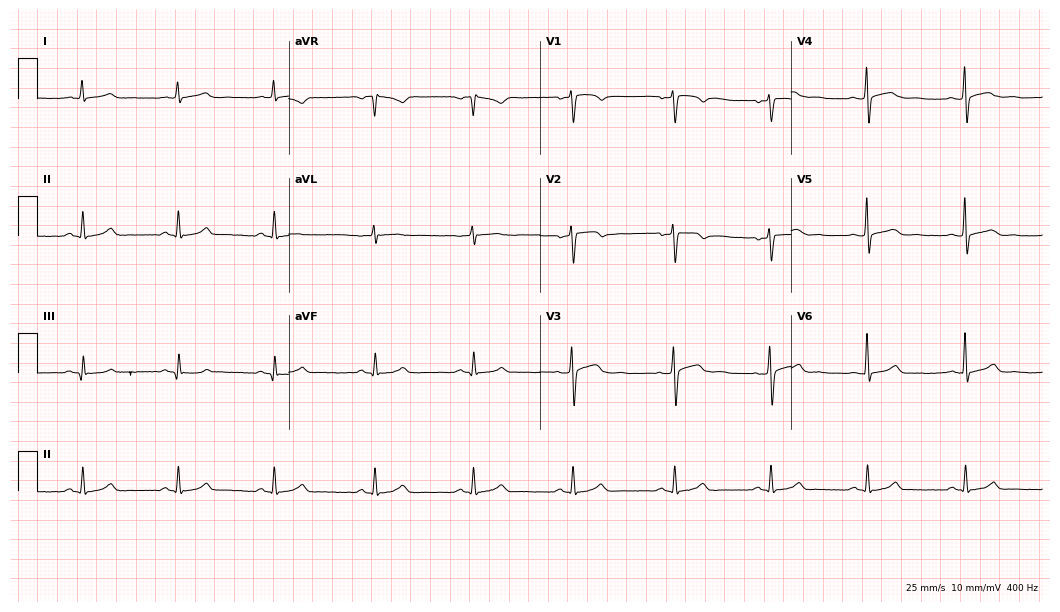
12-lead ECG (10.2-second recording at 400 Hz) from a man, 26 years old. Labelled as a normal ECG.